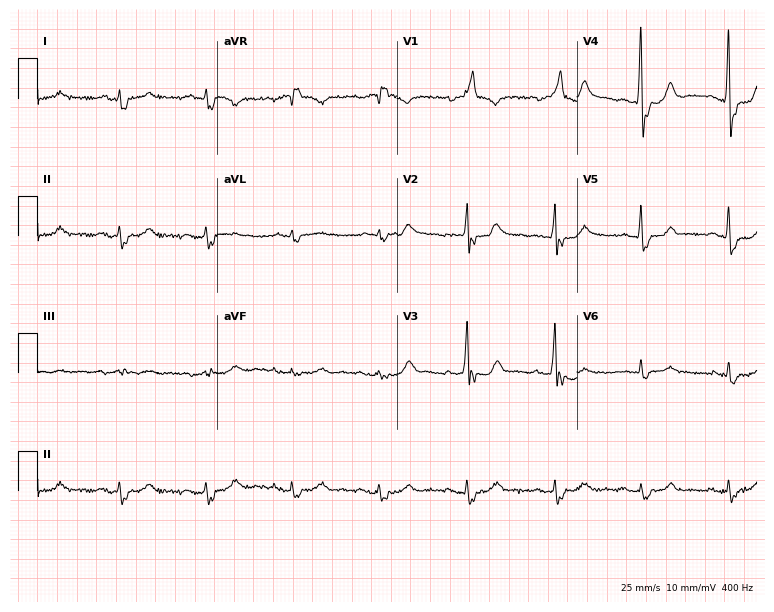
Electrocardiogram, a 76-year-old male. Interpretation includes right bundle branch block.